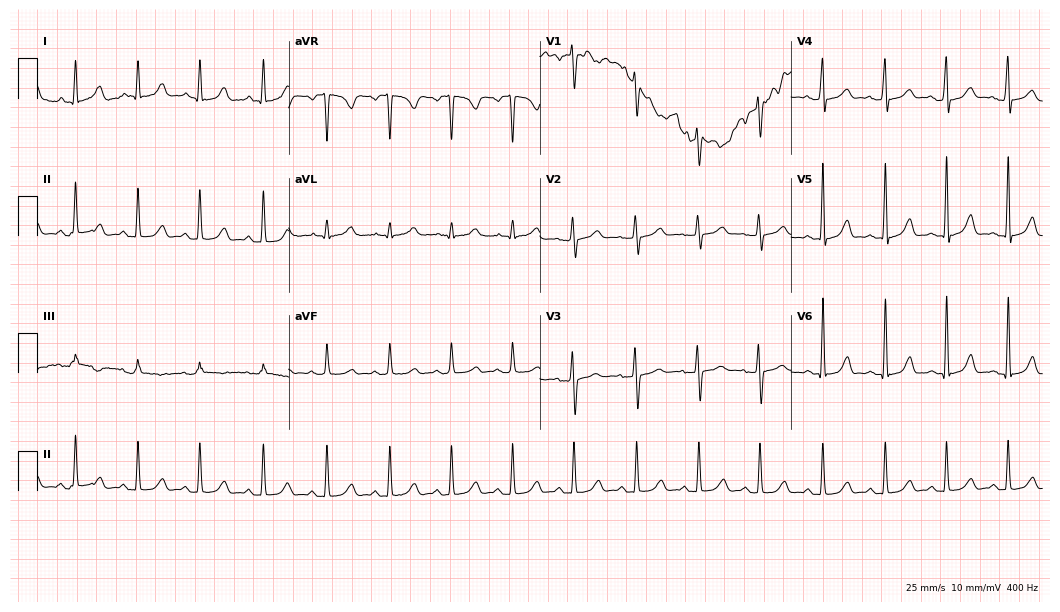
Electrocardiogram, a woman, 24 years old. Overall reading on record: normal ECG.